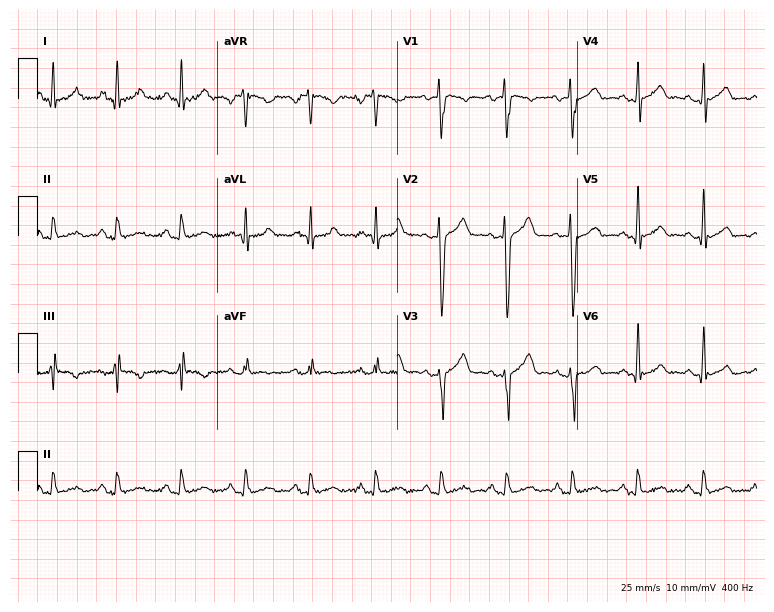
Resting 12-lead electrocardiogram (7.3-second recording at 400 Hz). Patient: a male, 38 years old. None of these six findings is recorded: first-degree AV block, right bundle branch block (RBBB), left bundle branch block (LBBB), sinus bradycardia, atrial fibrillation (AF), sinus tachycardia.